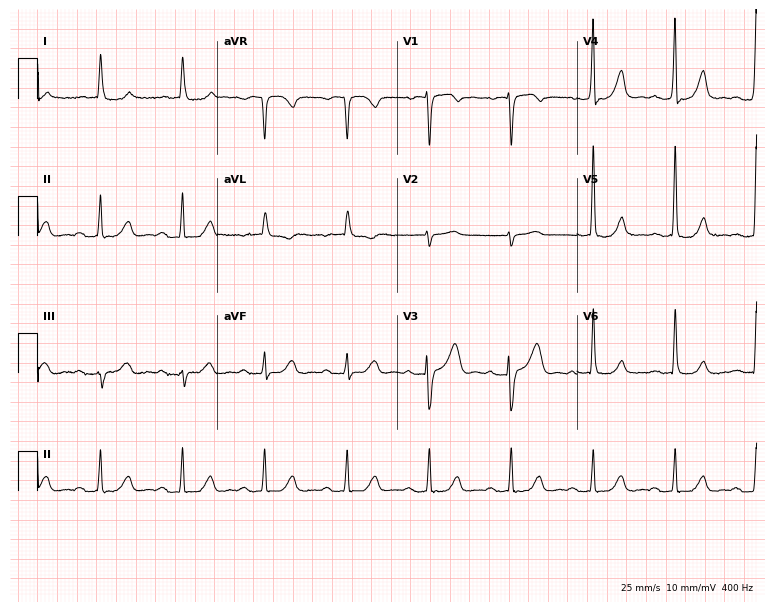
Standard 12-lead ECG recorded from an 82-year-old female patient (7.3-second recording at 400 Hz). The tracing shows first-degree AV block.